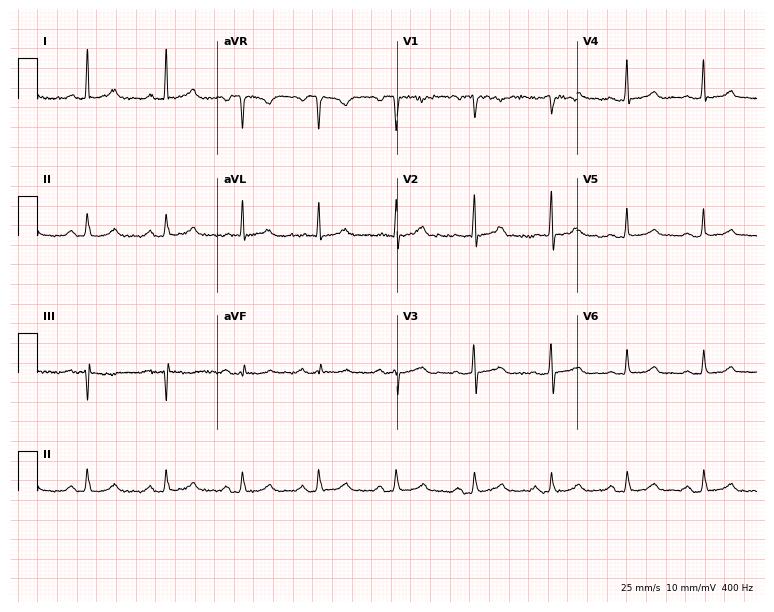
Resting 12-lead electrocardiogram. Patient: a woman, 54 years old. Read as a normal ECG.